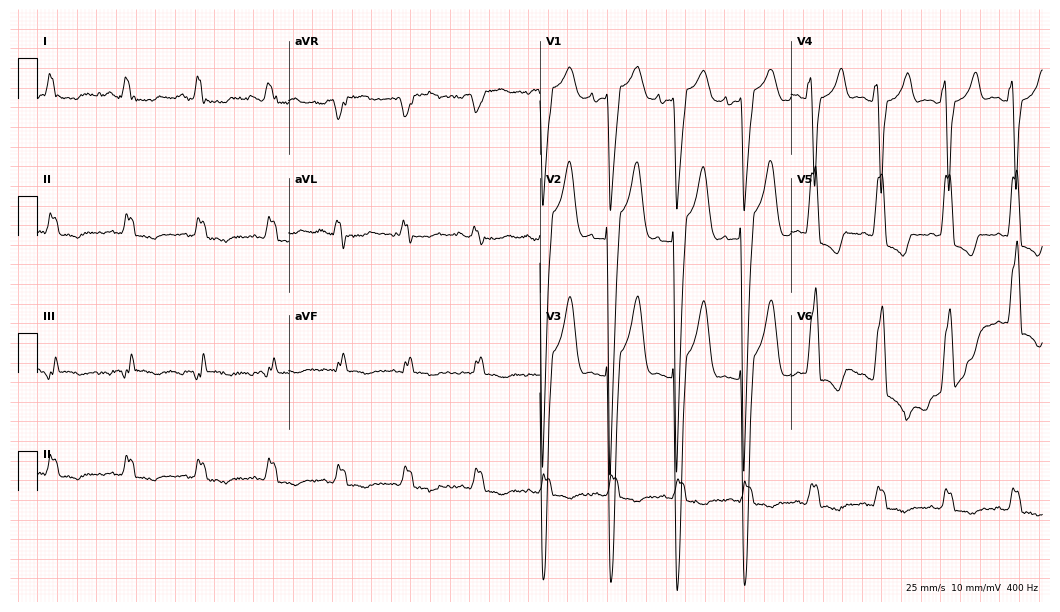
Electrocardiogram, a male patient, 81 years old. Interpretation includes left bundle branch block.